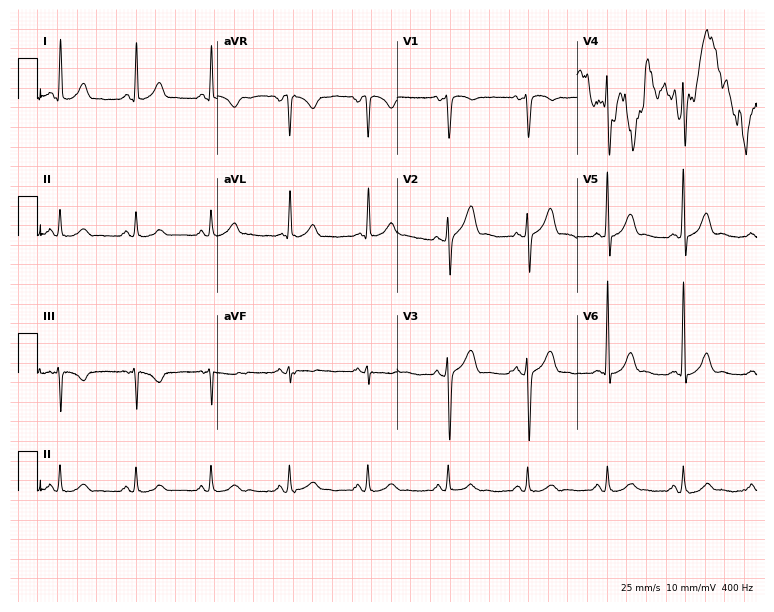
12-lead ECG from a 53-year-old male patient. Labelled as a normal ECG.